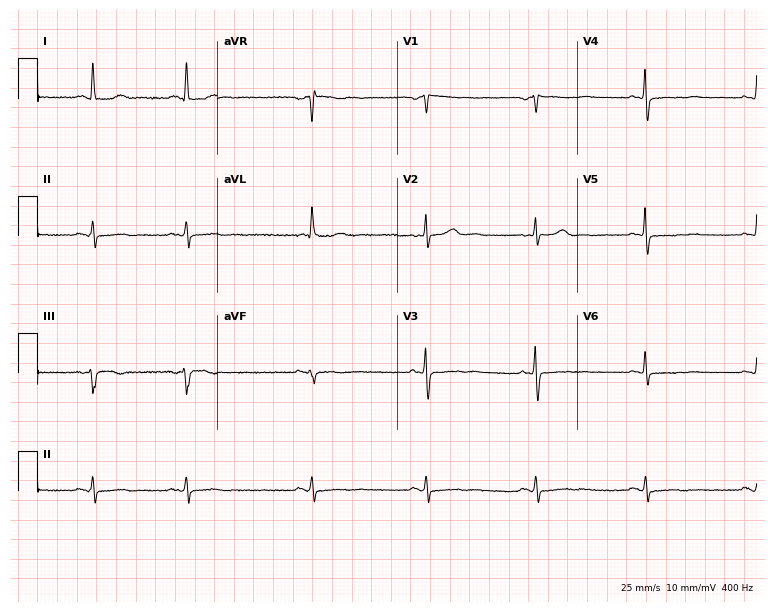
Electrocardiogram, a female, 69 years old. Of the six screened findings (first-degree AV block, right bundle branch block, left bundle branch block, sinus bradycardia, atrial fibrillation, sinus tachycardia), none is recorded.